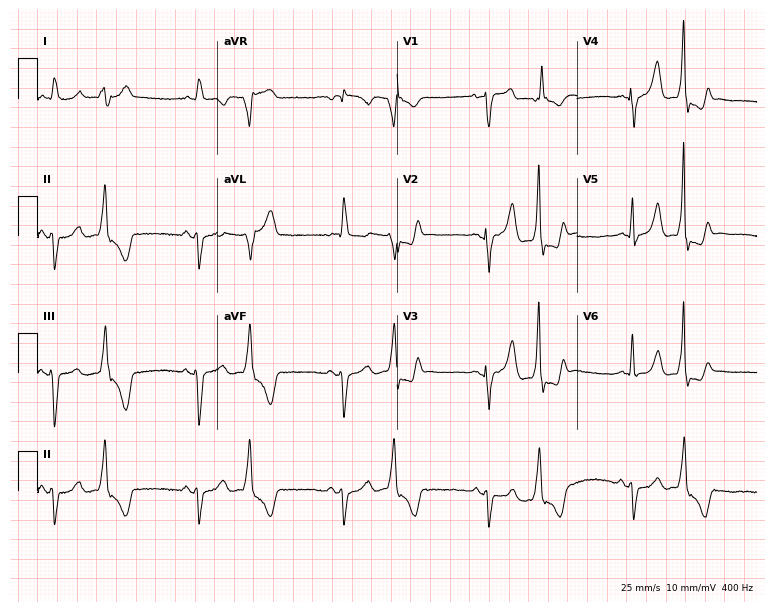
Standard 12-lead ECG recorded from an 85-year-old male patient. None of these six findings is recorded: first-degree AV block, right bundle branch block, left bundle branch block, sinus bradycardia, atrial fibrillation, sinus tachycardia. Only these six findings were labelled.